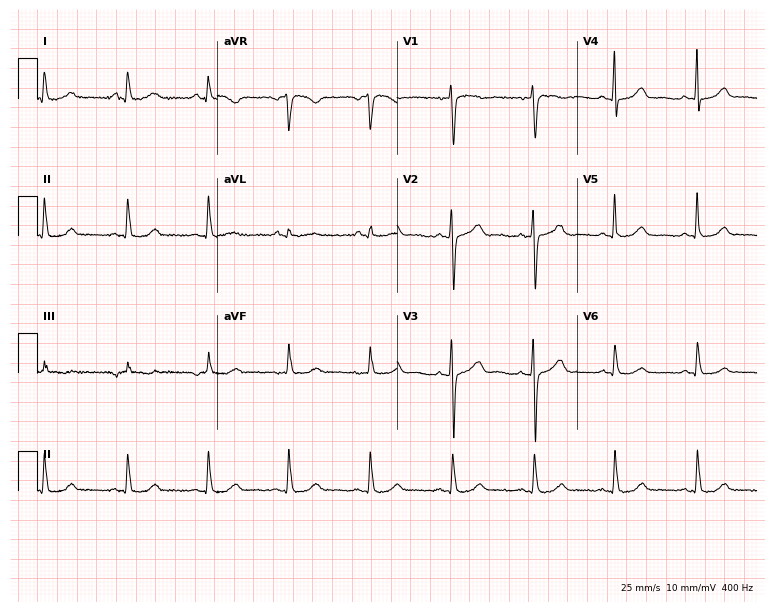
Electrocardiogram, a female, 50 years old. Of the six screened findings (first-degree AV block, right bundle branch block (RBBB), left bundle branch block (LBBB), sinus bradycardia, atrial fibrillation (AF), sinus tachycardia), none is recorded.